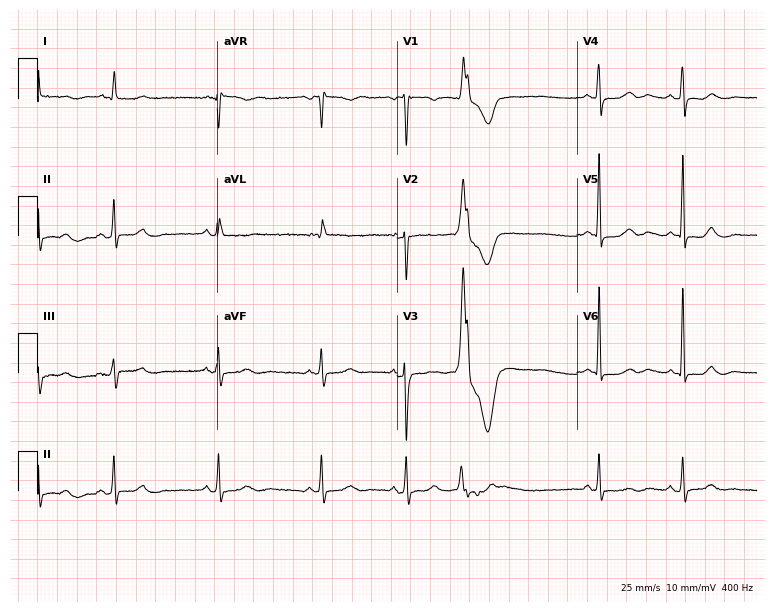
ECG (7.3-second recording at 400 Hz) — a female, 60 years old. Screened for six findings — first-degree AV block, right bundle branch block (RBBB), left bundle branch block (LBBB), sinus bradycardia, atrial fibrillation (AF), sinus tachycardia — none is recorded.